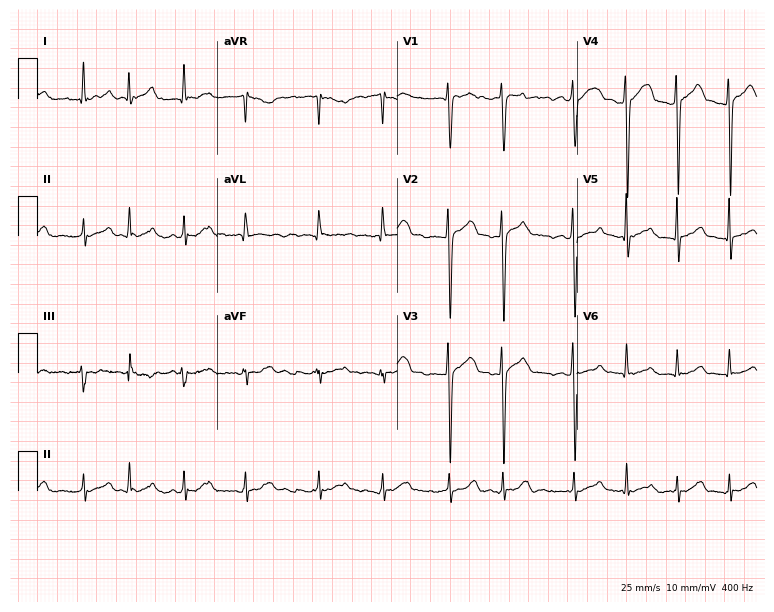
ECG (7.3-second recording at 400 Hz) — a 28-year-old male. Findings include atrial fibrillation.